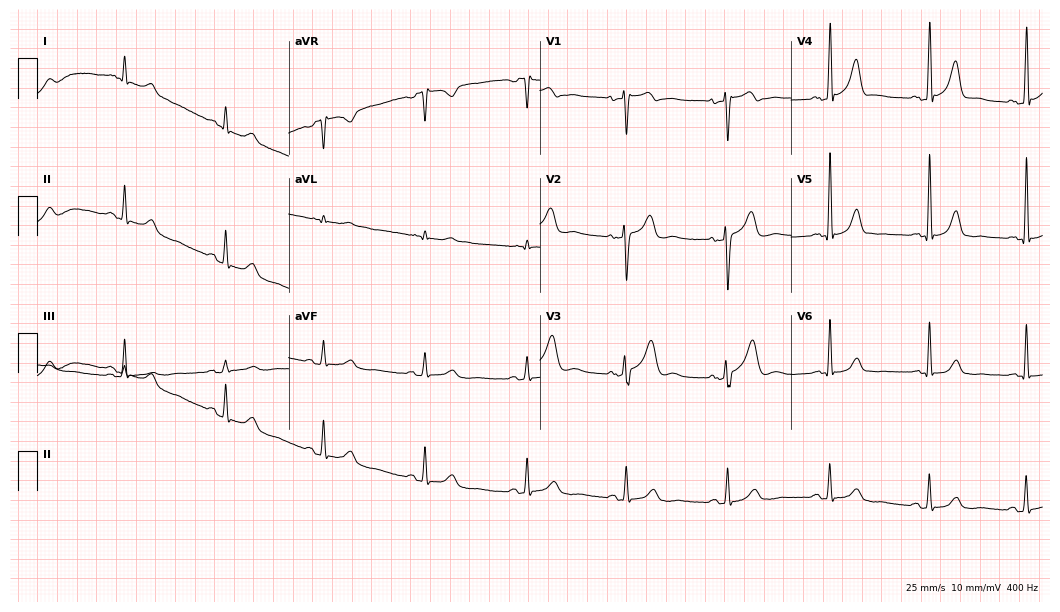
12-lead ECG from a man, 35 years old. Labelled as a normal ECG.